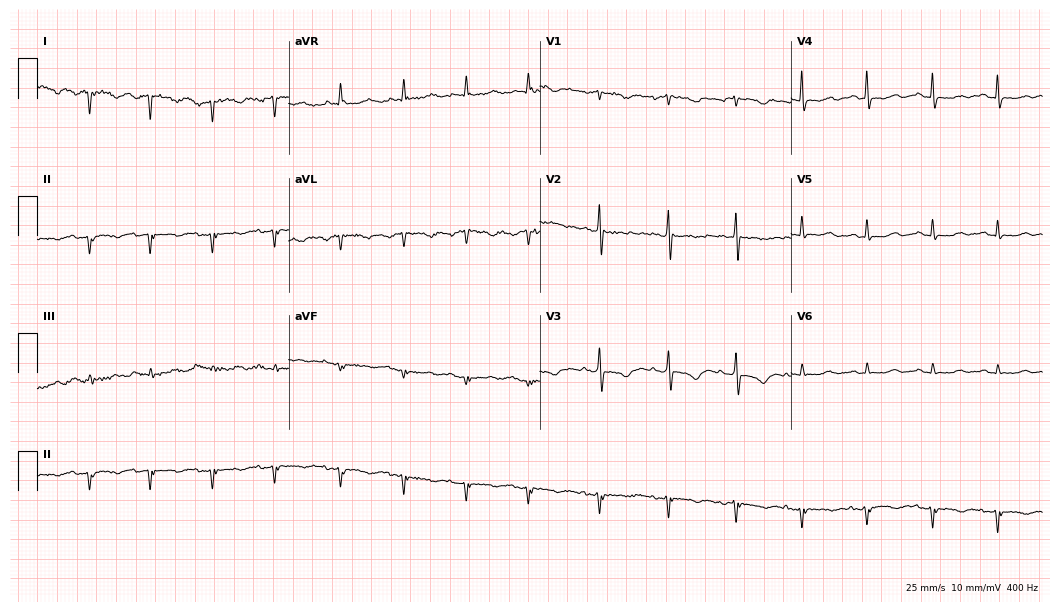
Resting 12-lead electrocardiogram (10.2-second recording at 400 Hz). Patient: a 74-year-old woman. None of these six findings is recorded: first-degree AV block, right bundle branch block (RBBB), left bundle branch block (LBBB), sinus bradycardia, atrial fibrillation (AF), sinus tachycardia.